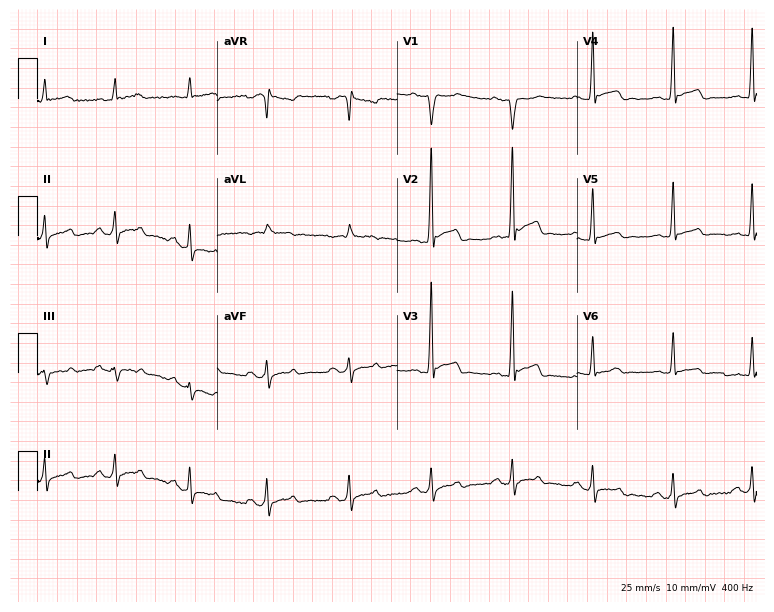
Resting 12-lead electrocardiogram (7.3-second recording at 400 Hz). Patient: a 41-year-old male. None of these six findings is recorded: first-degree AV block, right bundle branch block, left bundle branch block, sinus bradycardia, atrial fibrillation, sinus tachycardia. Only these six findings were labelled.